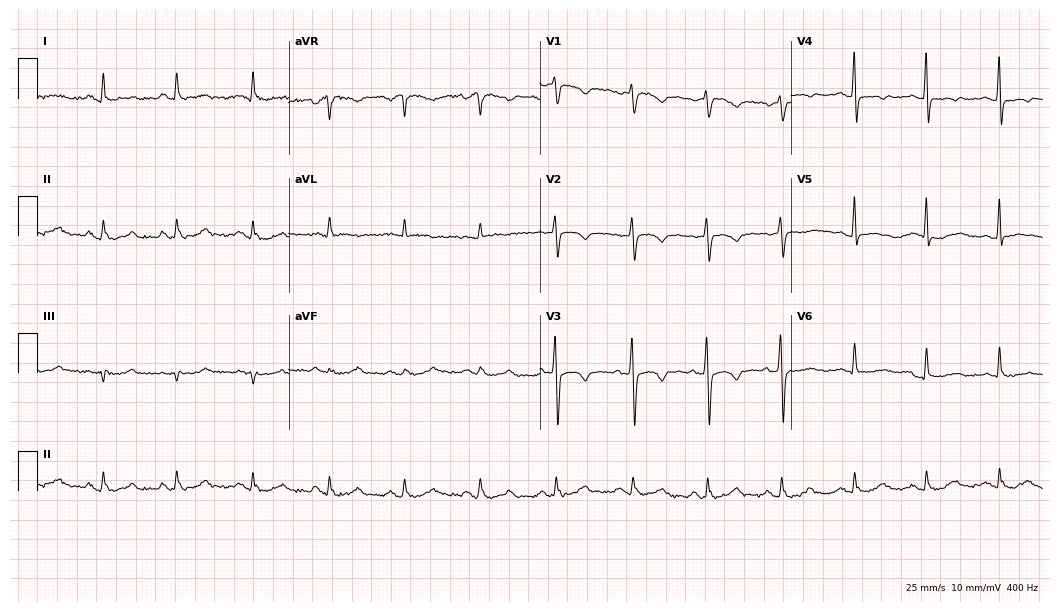
ECG (10.2-second recording at 400 Hz) — a 59-year-old woman. Screened for six findings — first-degree AV block, right bundle branch block (RBBB), left bundle branch block (LBBB), sinus bradycardia, atrial fibrillation (AF), sinus tachycardia — none is recorded. Only these six findings were labelled.